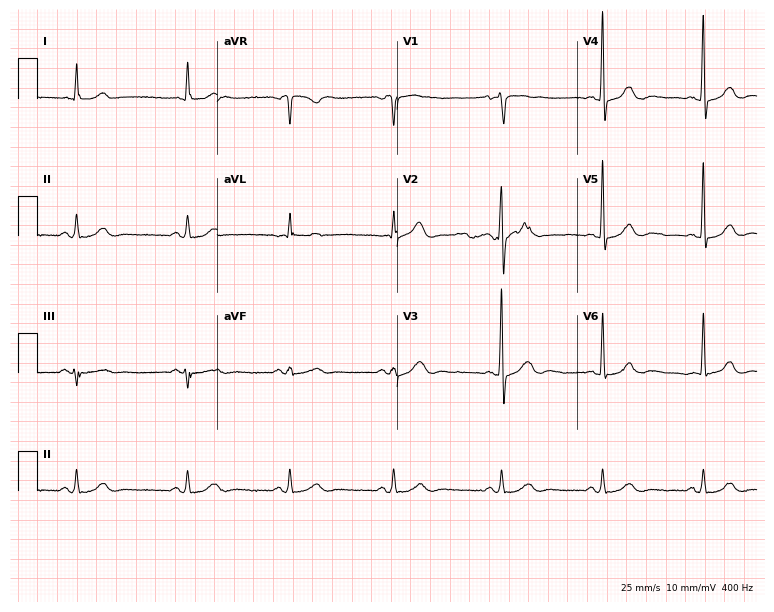
ECG (7.3-second recording at 400 Hz) — a 50-year-old man. Labelled as a normal ECG.